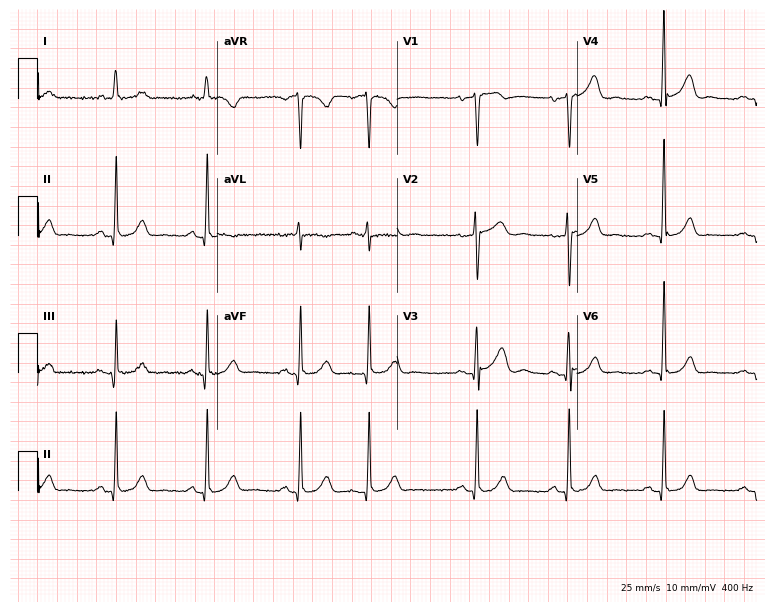
Electrocardiogram, a man, 84 years old. Overall reading on record: normal ECG.